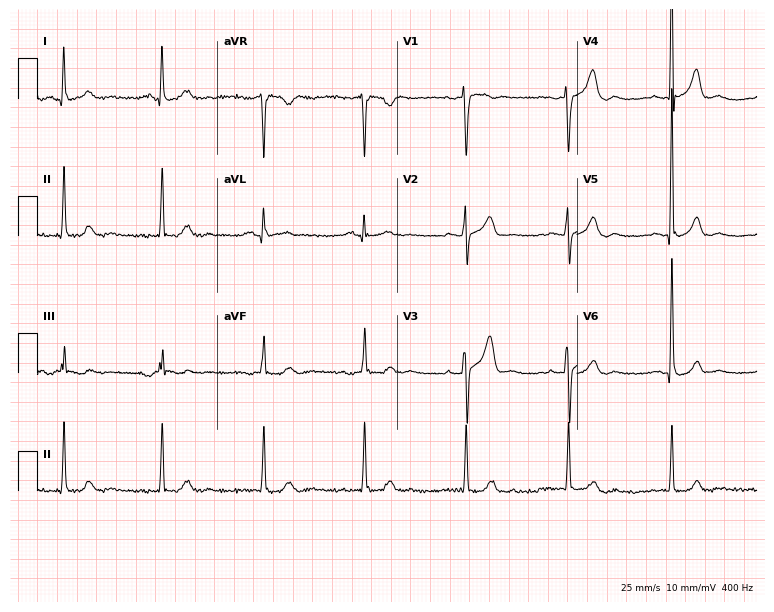
12-lead ECG from a 66-year-old man. Screened for six findings — first-degree AV block, right bundle branch block, left bundle branch block, sinus bradycardia, atrial fibrillation, sinus tachycardia — none is recorded. Only these six findings were labelled.